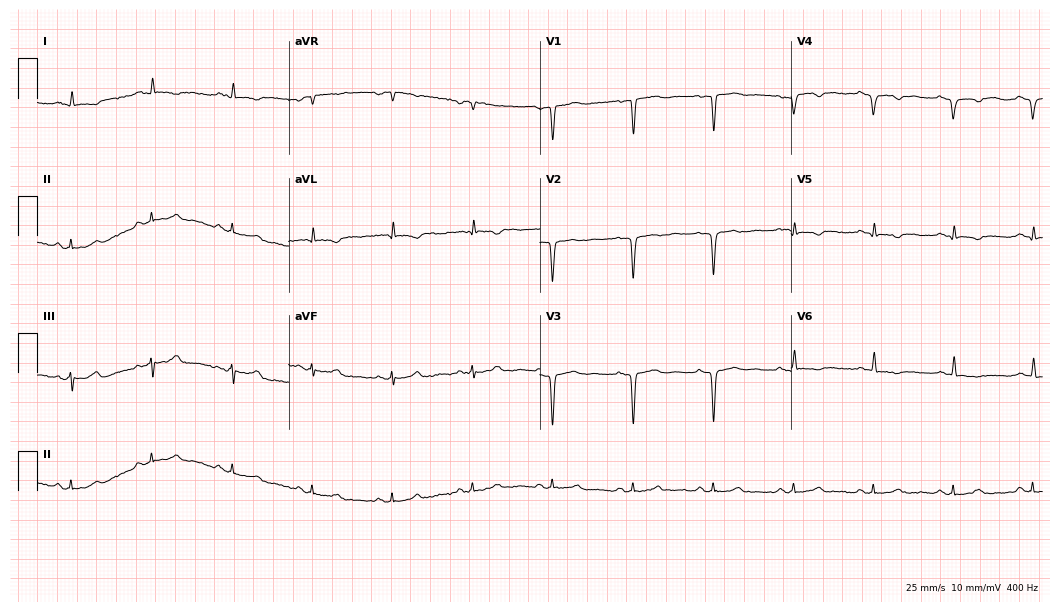
ECG (10.2-second recording at 400 Hz) — a man, 60 years old. Screened for six findings — first-degree AV block, right bundle branch block (RBBB), left bundle branch block (LBBB), sinus bradycardia, atrial fibrillation (AF), sinus tachycardia — none is recorded. Only these six findings were labelled.